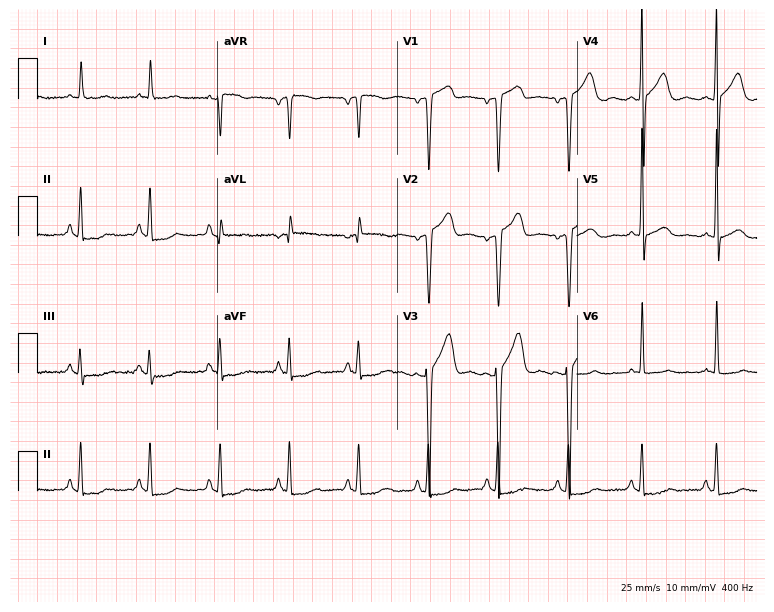
Resting 12-lead electrocardiogram (7.3-second recording at 400 Hz). Patient: a 68-year-old male. None of these six findings is recorded: first-degree AV block, right bundle branch block, left bundle branch block, sinus bradycardia, atrial fibrillation, sinus tachycardia. Only these six findings were labelled.